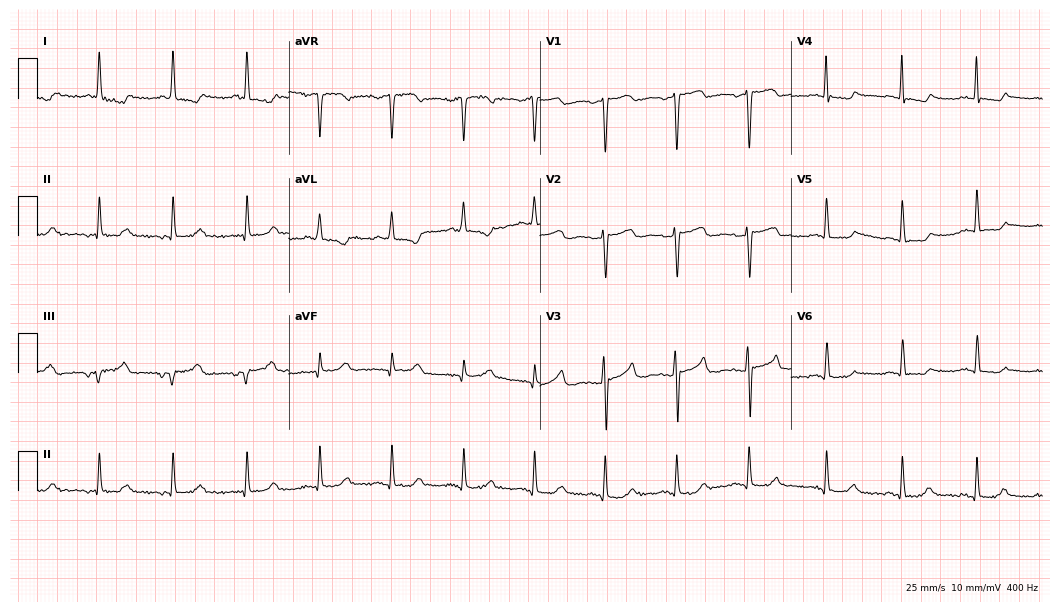
12-lead ECG from a woman, 75 years old. No first-degree AV block, right bundle branch block, left bundle branch block, sinus bradycardia, atrial fibrillation or sinus tachycardia recorded for this tracing. Other findings, if any, are not listed.